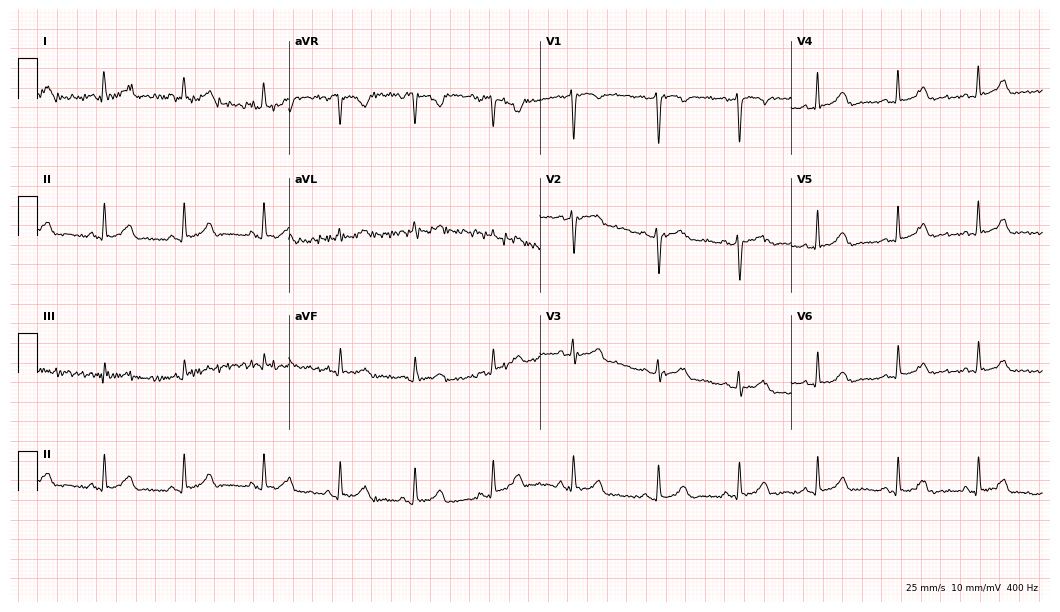
Electrocardiogram (10.2-second recording at 400 Hz), a 45-year-old woman. Overall reading on record: normal ECG.